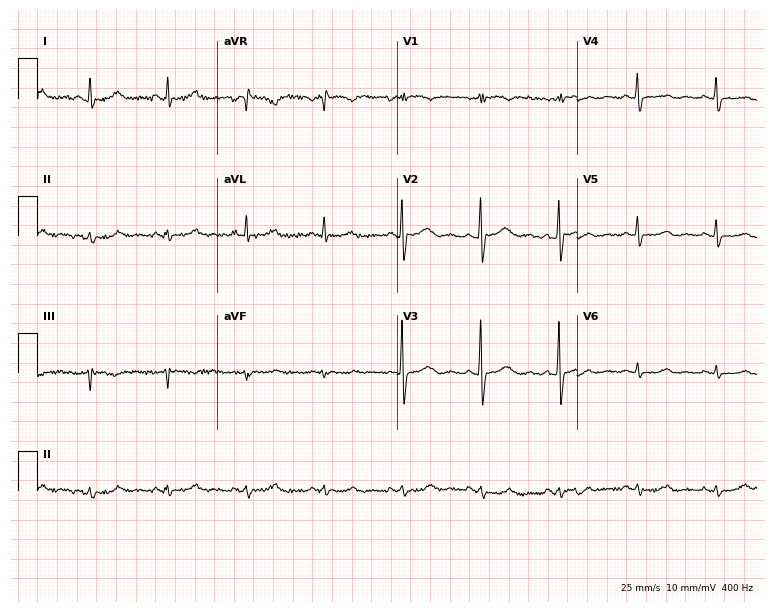
12-lead ECG from a 62-year-old woman (7.3-second recording at 400 Hz). Recorded interpretation: within normal limits.